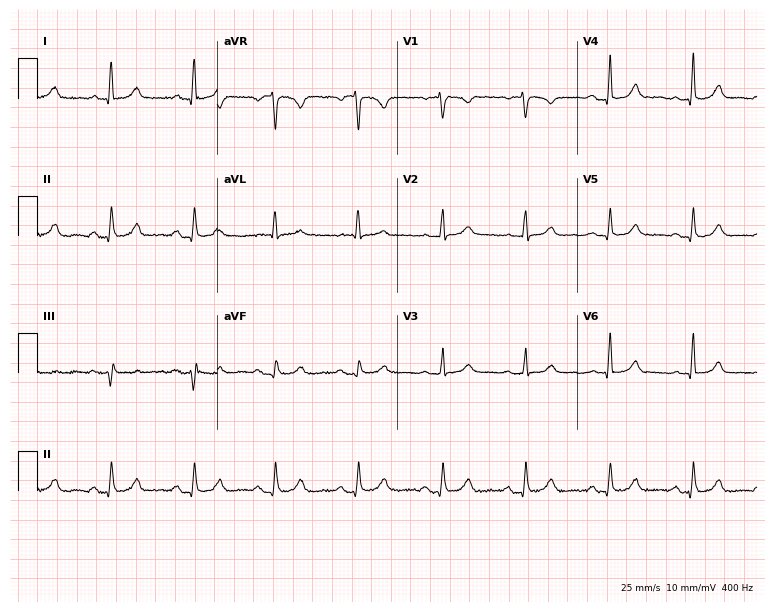
12-lead ECG from a 57-year-old female patient (7.3-second recording at 400 Hz). Recorded interpretation: within normal limits.